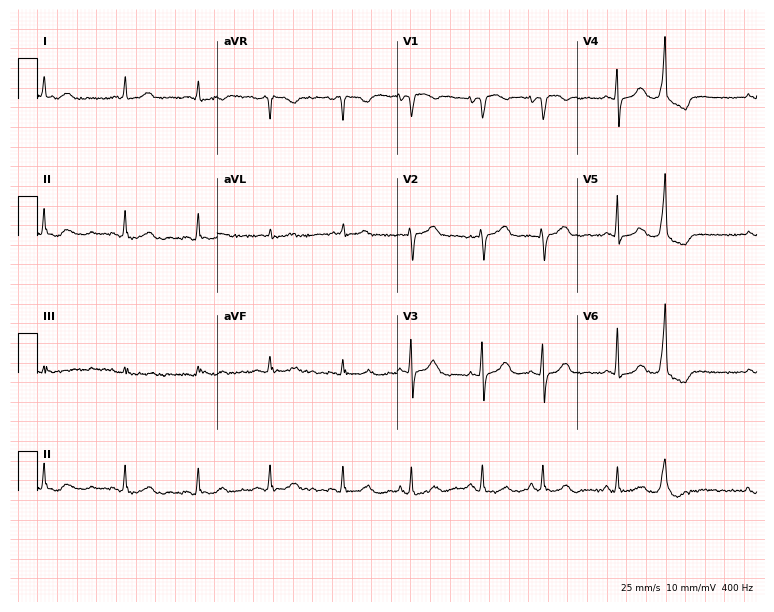
12-lead ECG from a 75-year-old female patient (7.3-second recording at 400 Hz). No first-degree AV block, right bundle branch block (RBBB), left bundle branch block (LBBB), sinus bradycardia, atrial fibrillation (AF) or sinus tachycardia recorded for this tracing. Only these six findings were labelled.